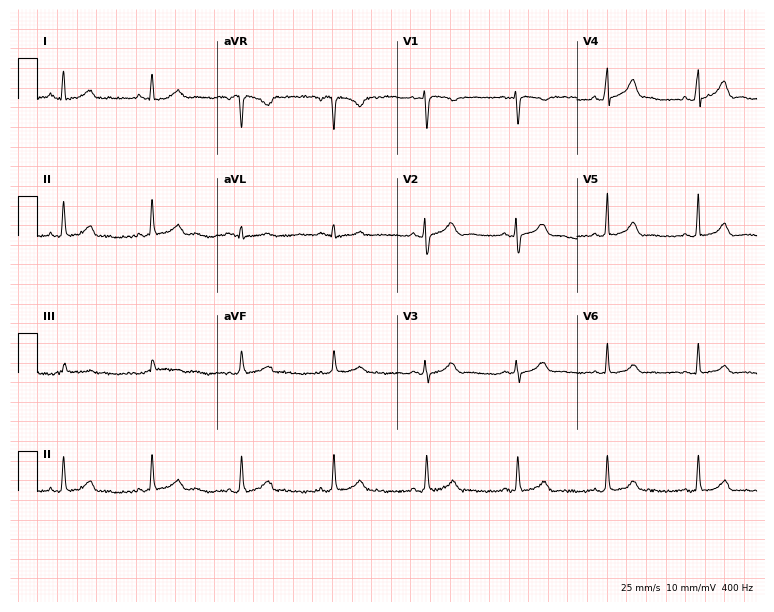
Standard 12-lead ECG recorded from a male, 31 years old (7.3-second recording at 400 Hz). Read as a normal ECG.